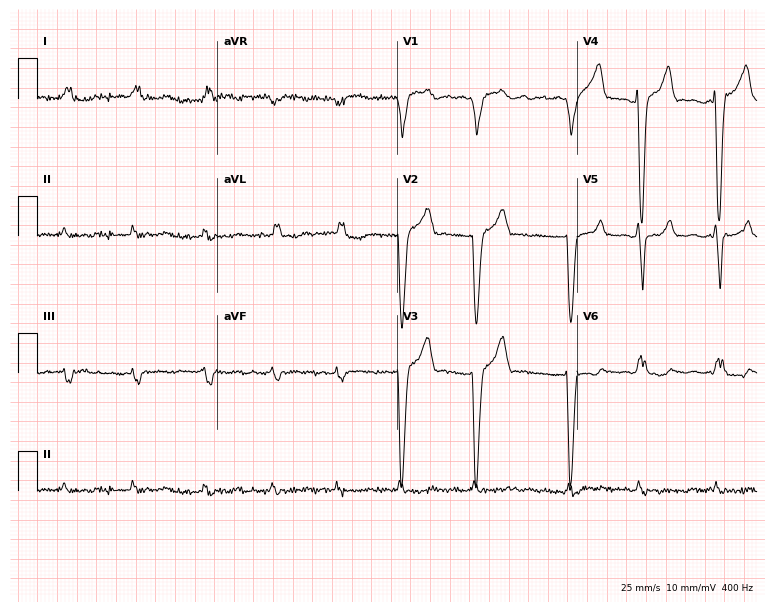
12-lead ECG (7.3-second recording at 400 Hz) from a man, 78 years old. Screened for six findings — first-degree AV block, right bundle branch block, left bundle branch block, sinus bradycardia, atrial fibrillation, sinus tachycardia — none is recorded. Other findings, if any, are not listed.